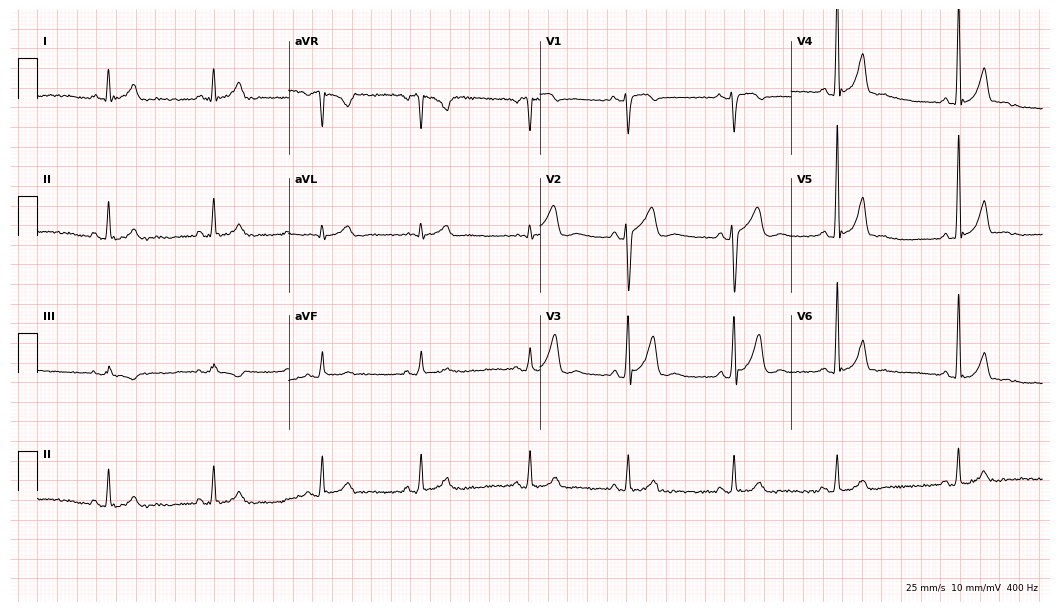
Standard 12-lead ECG recorded from a 21-year-old male. None of these six findings is recorded: first-degree AV block, right bundle branch block (RBBB), left bundle branch block (LBBB), sinus bradycardia, atrial fibrillation (AF), sinus tachycardia.